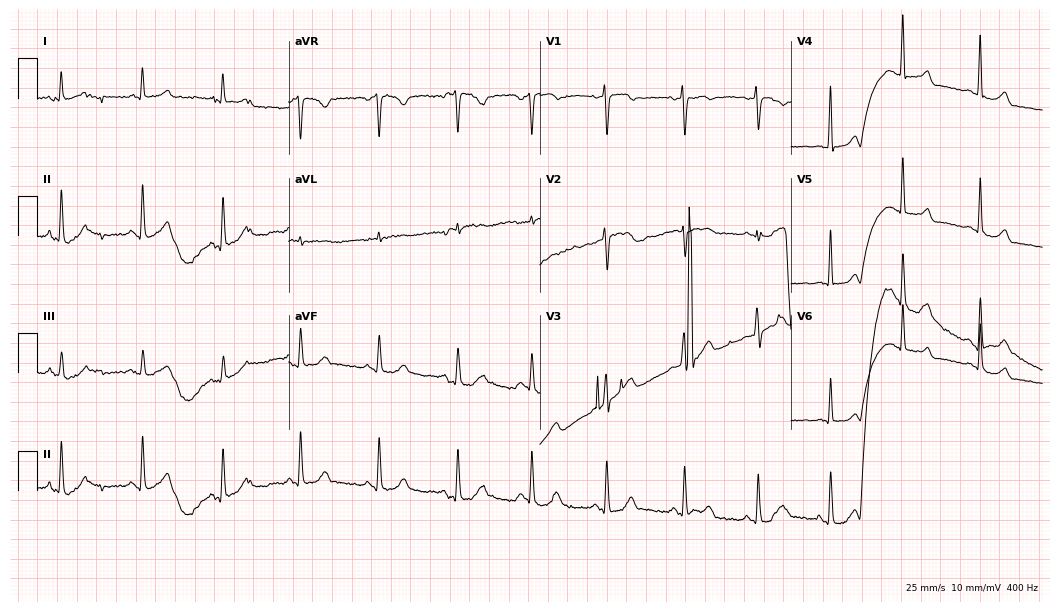
Standard 12-lead ECG recorded from a 41-year-old female patient (10.2-second recording at 400 Hz). None of these six findings is recorded: first-degree AV block, right bundle branch block, left bundle branch block, sinus bradycardia, atrial fibrillation, sinus tachycardia.